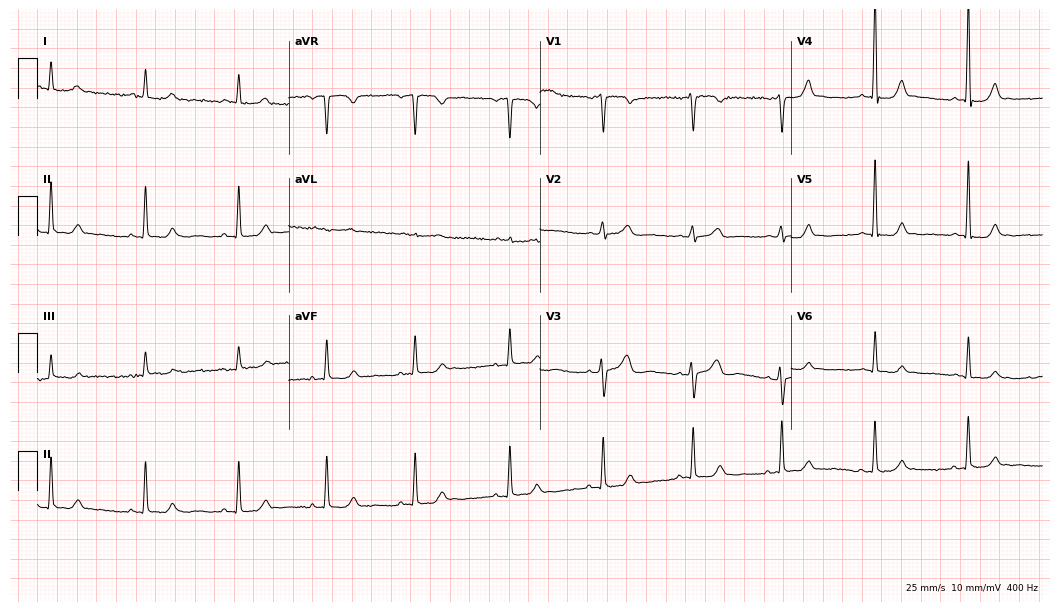
Resting 12-lead electrocardiogram (10.2-second recording at 400 Hz). Patient: a female, 50 years old. Read as a normal ECG.